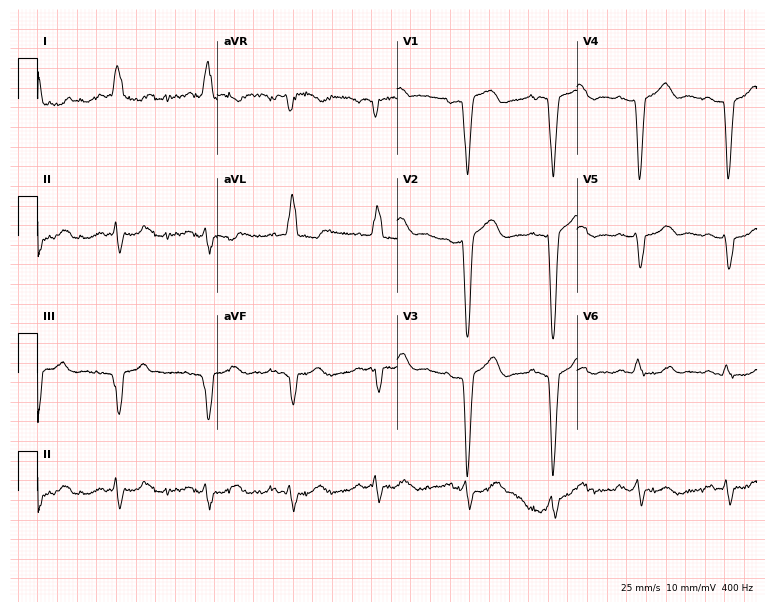
12-lead ECG from a 73-year-old female patient. Findings include left bundle branch block.